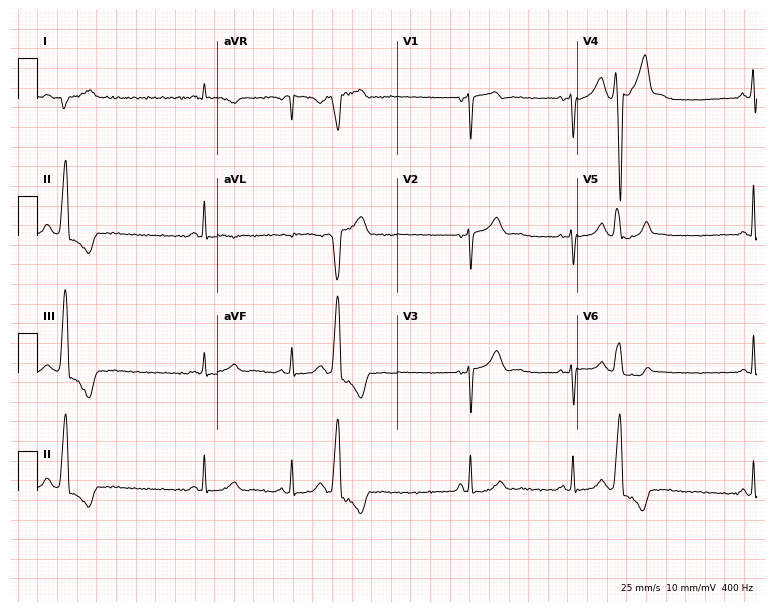
Resting 12-lead electrocardiogram. Patient: a 57-year-old male. None of these six findings is recorded: first-degree AV block, right bundle branch block (RBBB), left bundle branch block (LBBB), sinus bradycardia, atrial fibrillation (AF), sinus tachycardia.